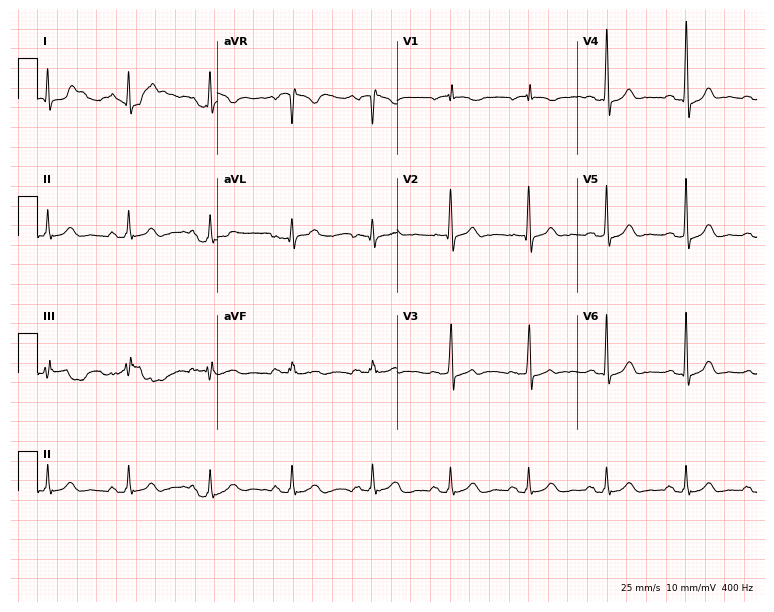
Standard 12-lead ECG recorded from a 71-year-old male patient (7.3-second recording at 400 Hz). None of these six findings is recorded: first-degree AV block, right bundle branch block, left bundle branch block, sinus bradycardia, atrial fibrillation, sinus tachycardia. Findings outside these six are not listed.